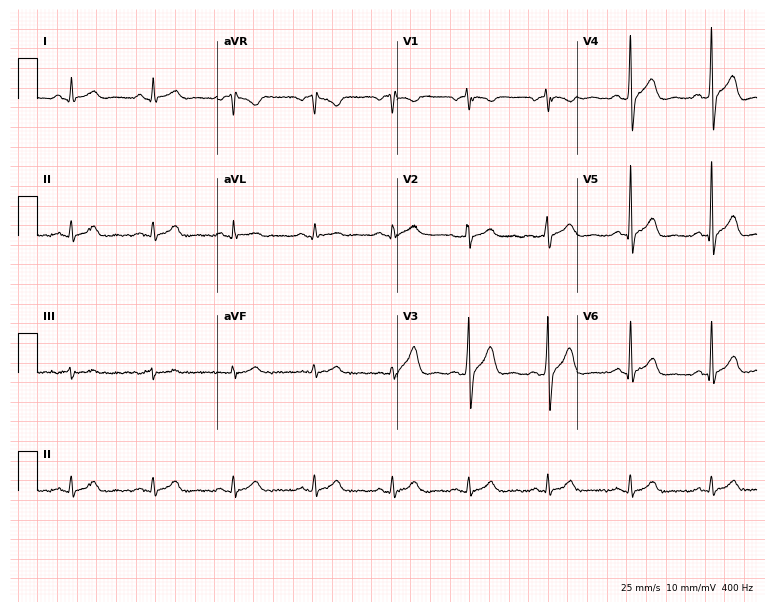
12-lead ECG from a male patient, 39 years old. No first-degree AV block, right bundle branch block, left bundle branch block, sinus bradycardia, atrial fibrillation or sinus tachycardia recorded for this tracing.